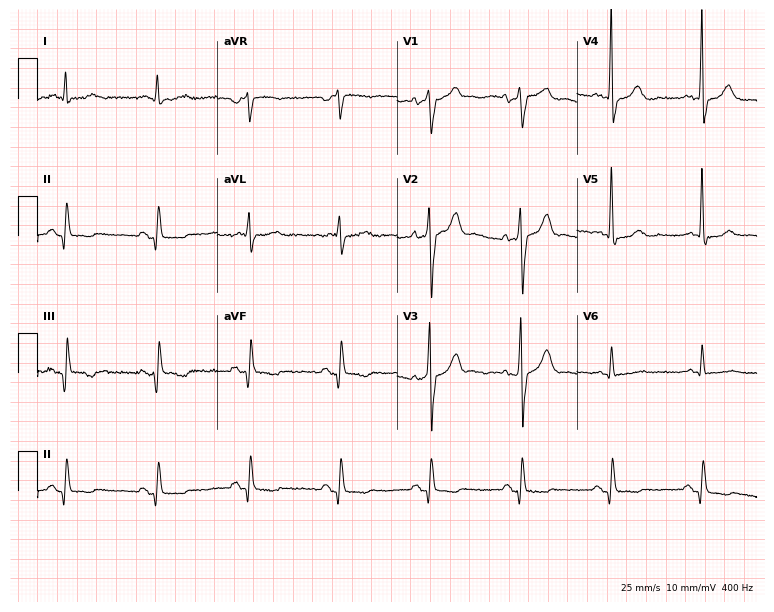
12-lead ECG (7.3-second recording at 400 Hz) from a 76-year-old male patient. Screened for six findings — first-degree AV block, right bundle branch block, left bundle branch block, sinus bradycardia, atrial fibrillation, sinus tachycardia — none is recorded. Only these six findings were labelled.